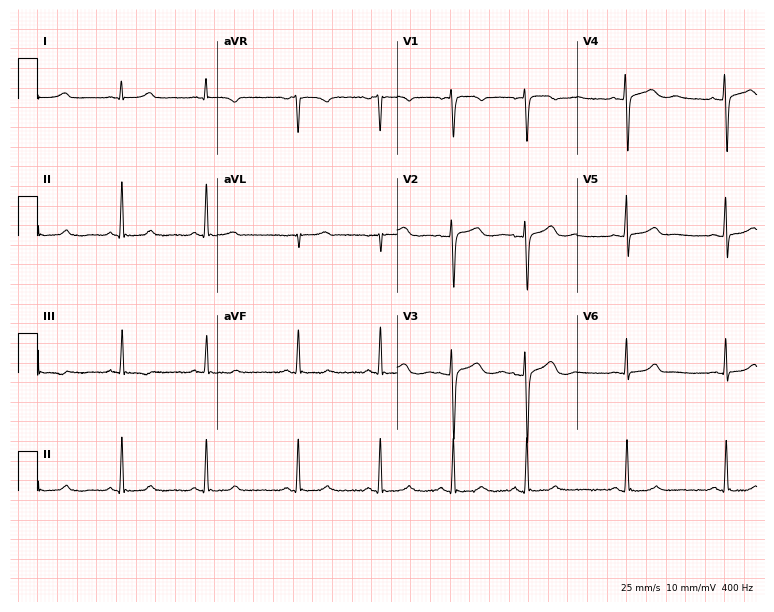
Resting 12-lead electrocardiogram (7.3-second recording at 400 Hz). Patient: a female, 22 years old. None of these six findings is recorded: first-degree AV block, right bundle branch block (RBBB), left bundle branch block (LBBB), sinus bradycardia, atrial fibrillation (AF), sinus tachycardia.